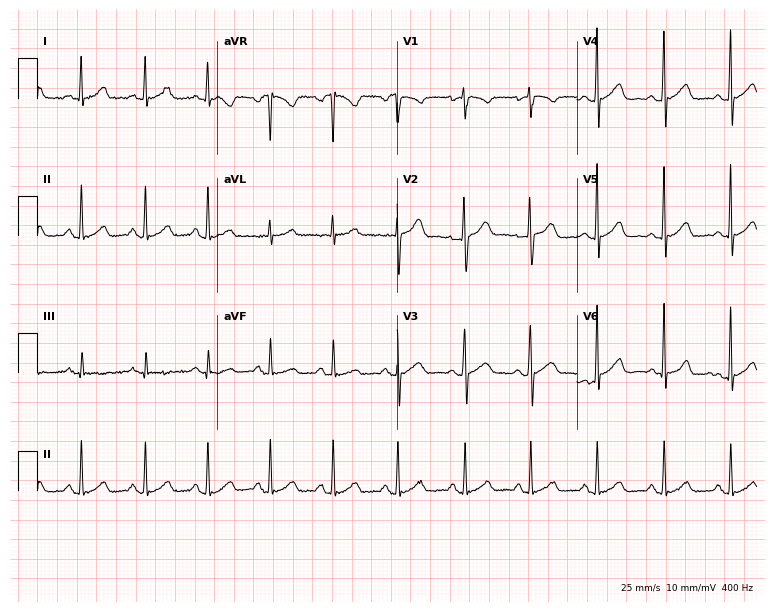
Standard 12-lead ECG recorded from a 28-year-old female. None of these six findings is recorded: first-degree AV block, right bundle branch block, left bundle branch block, sinus bradycardia, atrial fibrillation, sinus tachycardia.